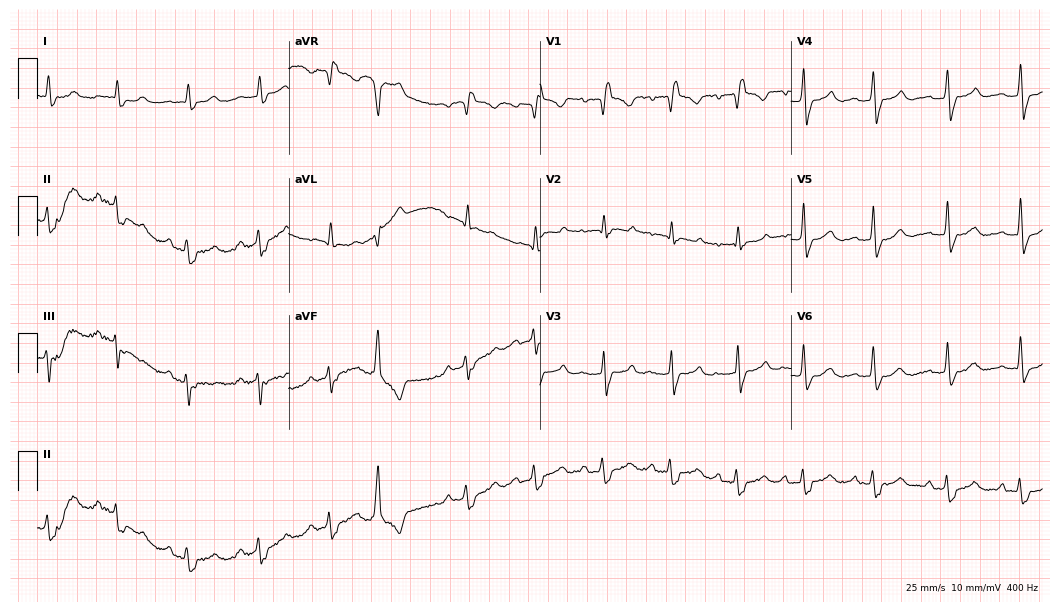
12-lead ECG from a 70-year-old female. Shows right bundle branch block.